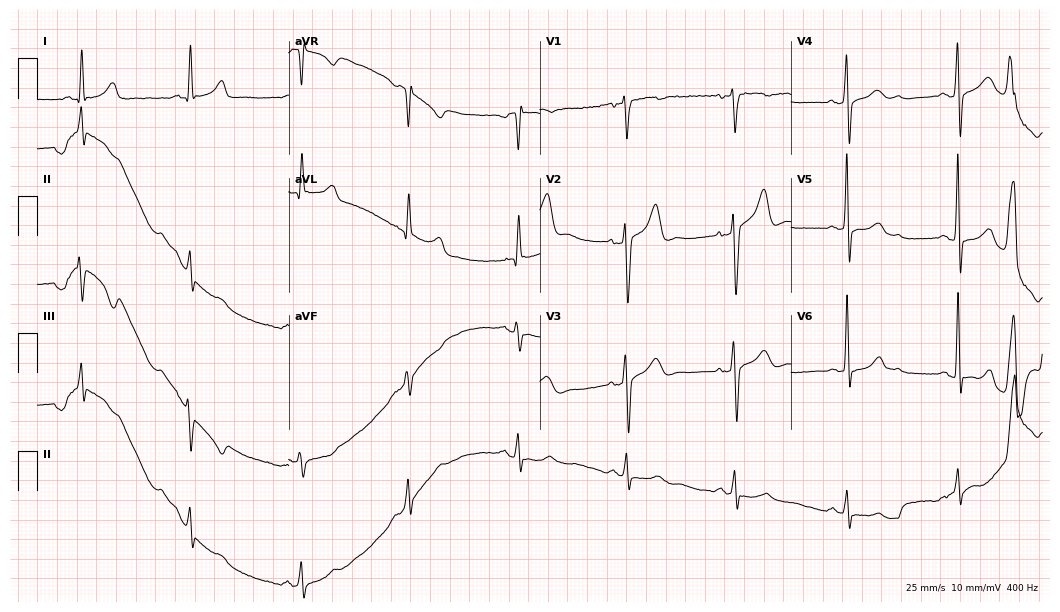
12-lead ECG (10.2-second recording at 400 Hz) from a male patient, 75 years old. Screened for six findings — first-degree AV block, right bundle branch block, left bundle branch block, sinus bradycardia, atrial fibrillation, sinus tachycardia — none is recorded.